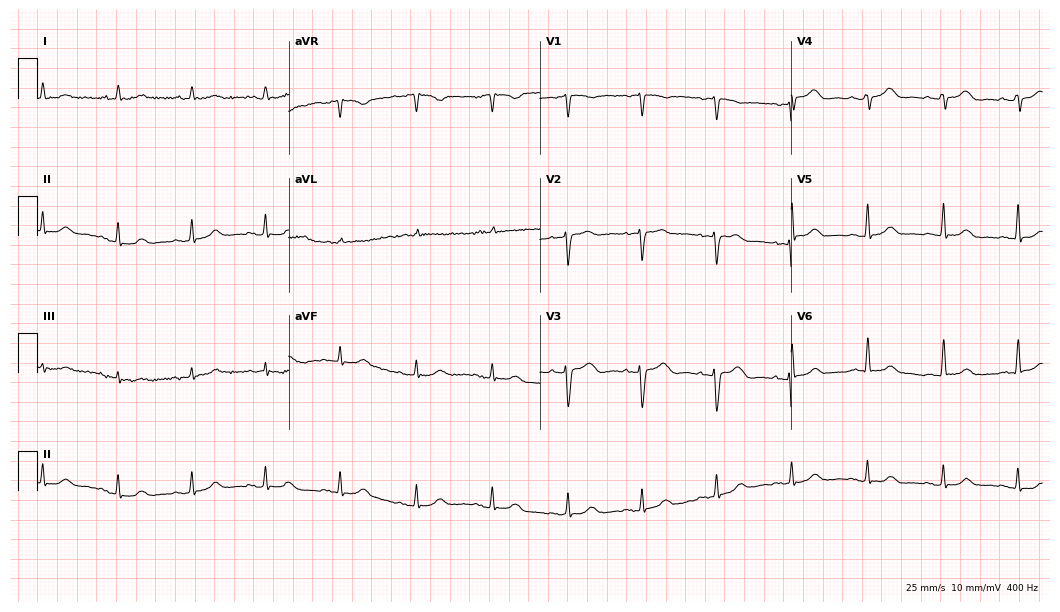
ECG — a female, 59 years old. Labelled as a normal ECG.